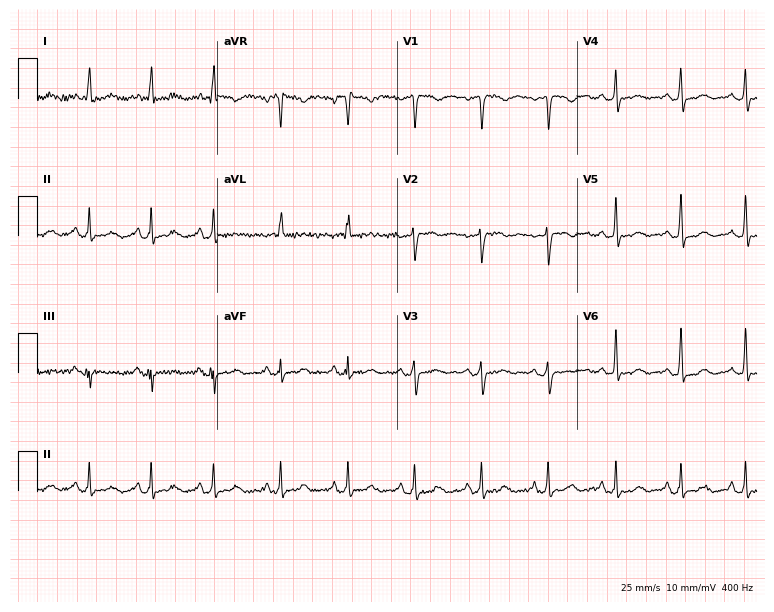
ECG (7.3-second recording at 400 Hz) — a woman, 46 years old. Screened for six findings — first-degree AV block, right bundle branch block, left bundle branch block, sinus bradycardia, atrial fibrillation, sinus tachycardia — none is recorded.